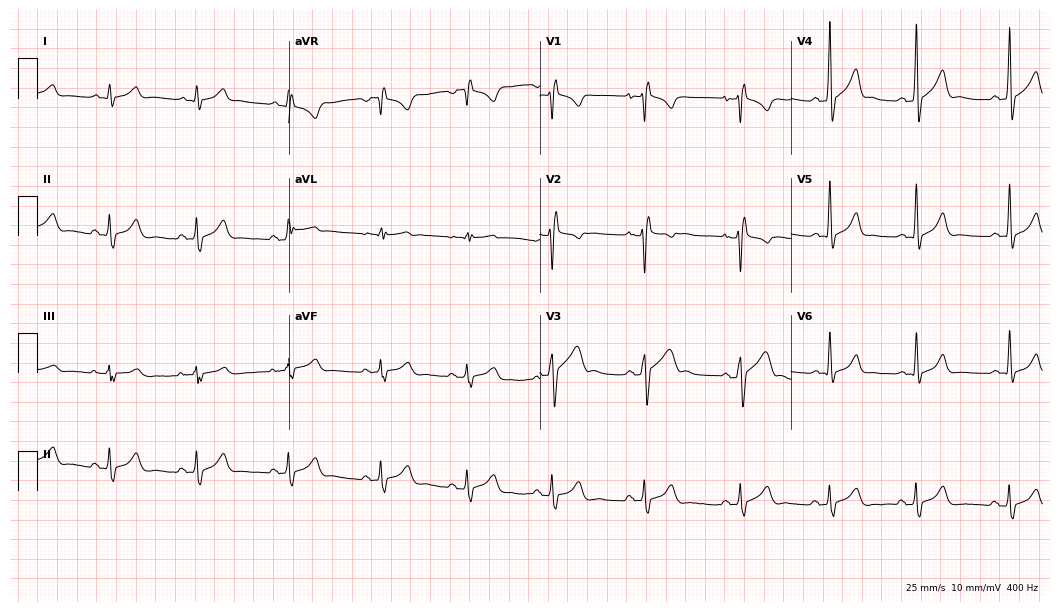
ECG (10.2-second recording at 400 Hz) — a man, 18 years old. Findings include right bundle branch block (RBBB).